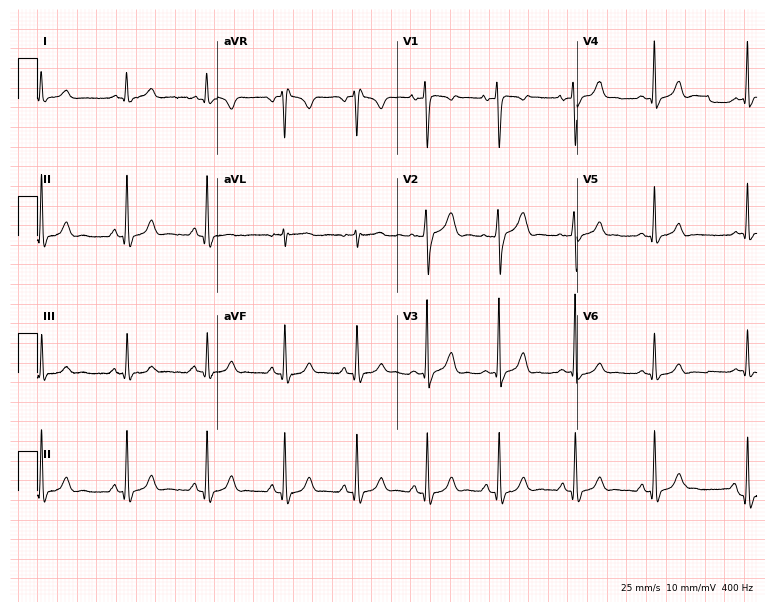
12-lead ECG from a 20-year-old female patient. Recorded interpretation: within normal limits.